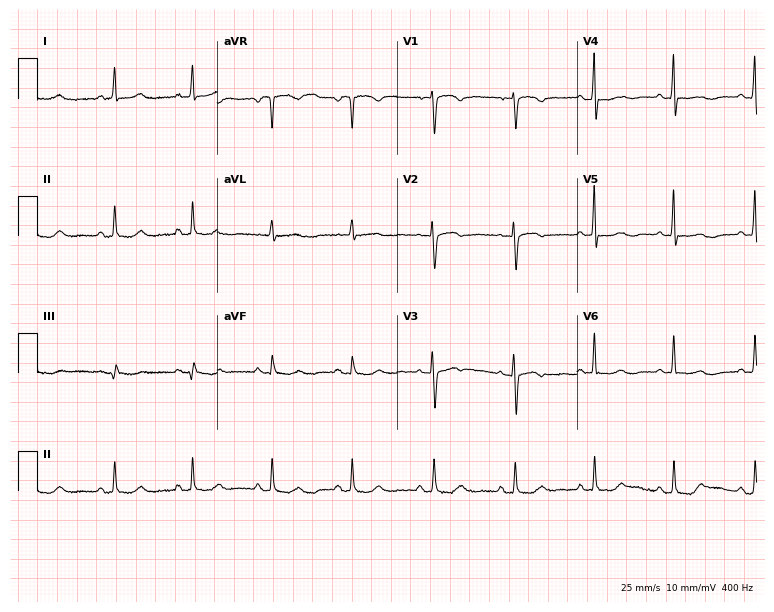
12-lead ECG from a 67-year-old female. Labelled as a normal ECG.